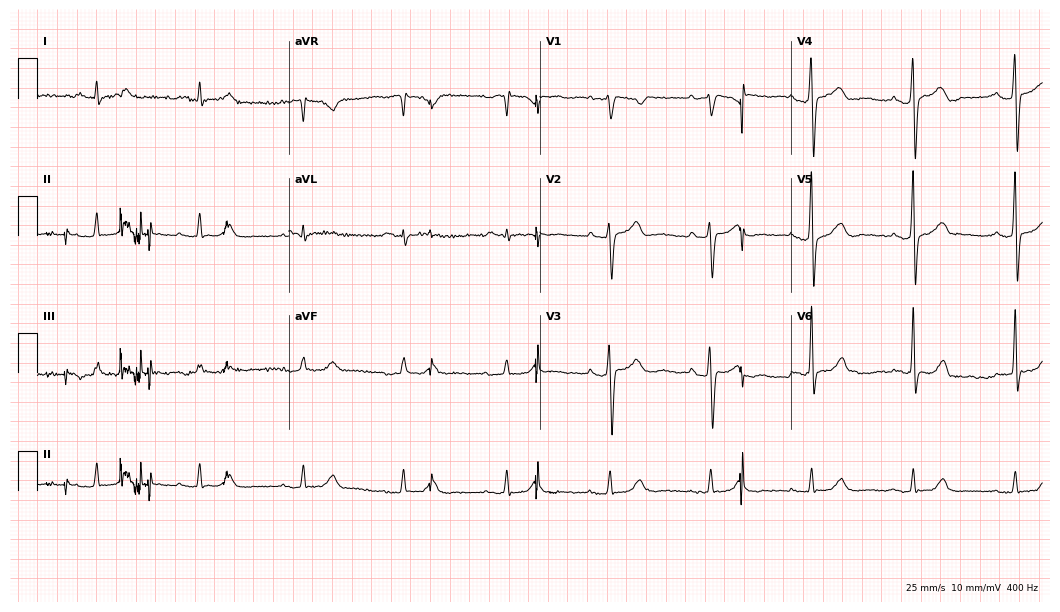
12-lead ECG from a male patient, 77 years old. Labelled as a normal ECG.